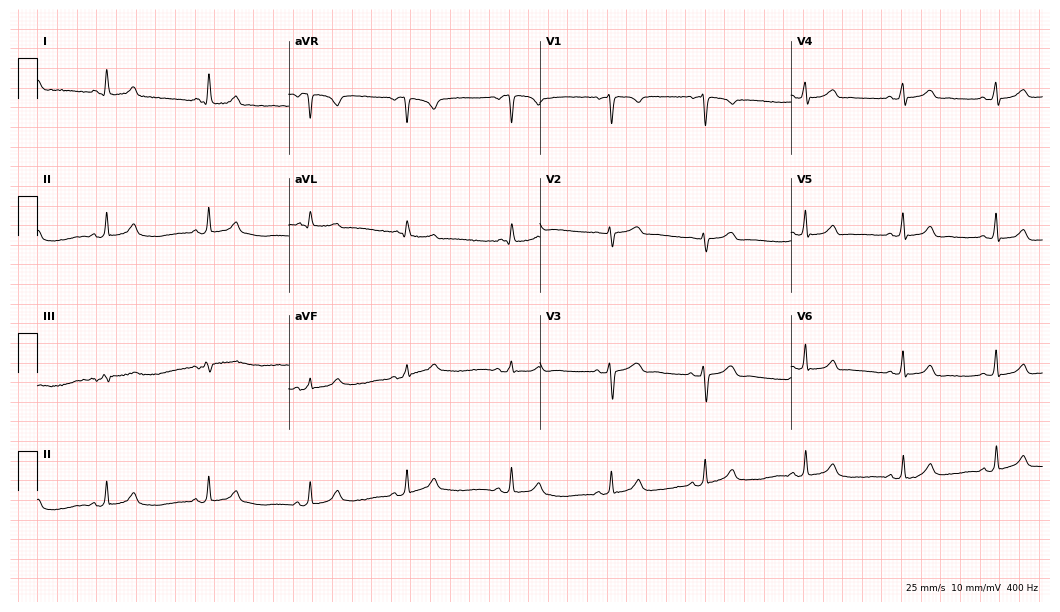
ECG (10.2-second recording at 400 Hz) — a female, 27 years old. Labelled as a normal ECG.